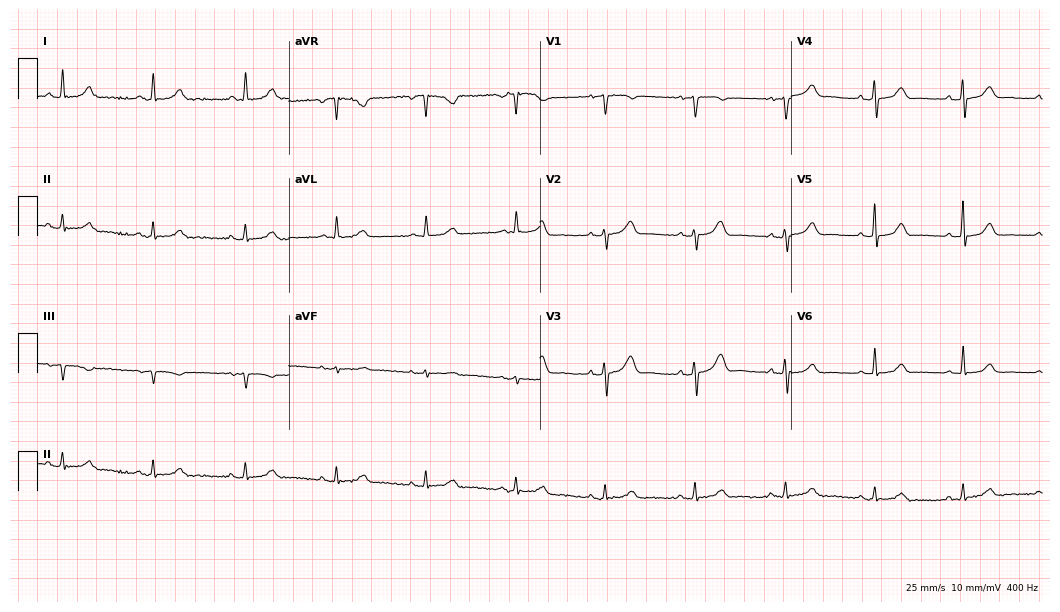
Resting 12-lead electrocardiogram. Patient: a 70-year-old female. Read as a normal ECG.